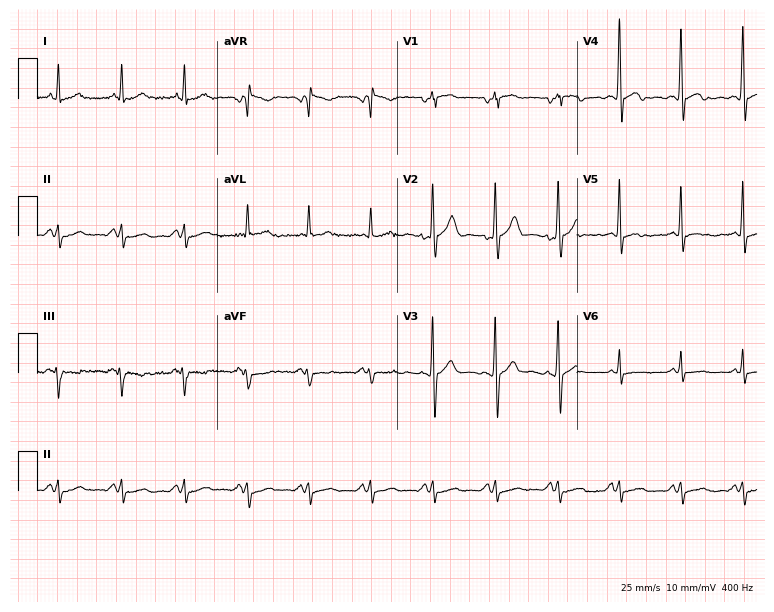
Resting 12-lead electrocardiogram. Patient: a male, 42 years old. None of these six findings is recorded: first-degree AV block, right bundle branch block, left bundle branch block, sinus bradycardia, atrial fibrillation, sinus tachycardia.